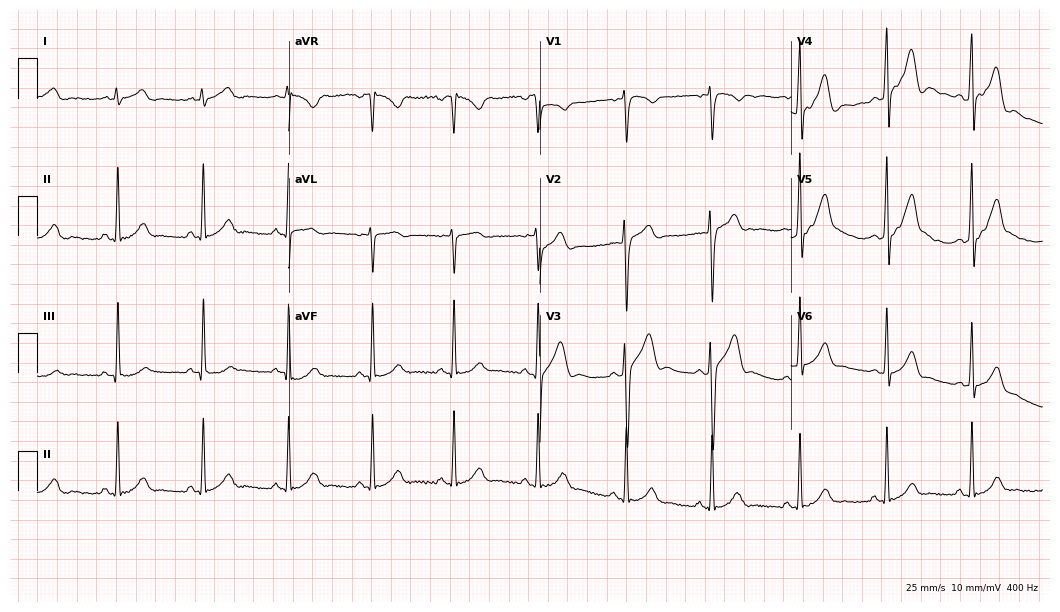
ECG — a 29-year-old male patient. Labelled as a normal ECG.